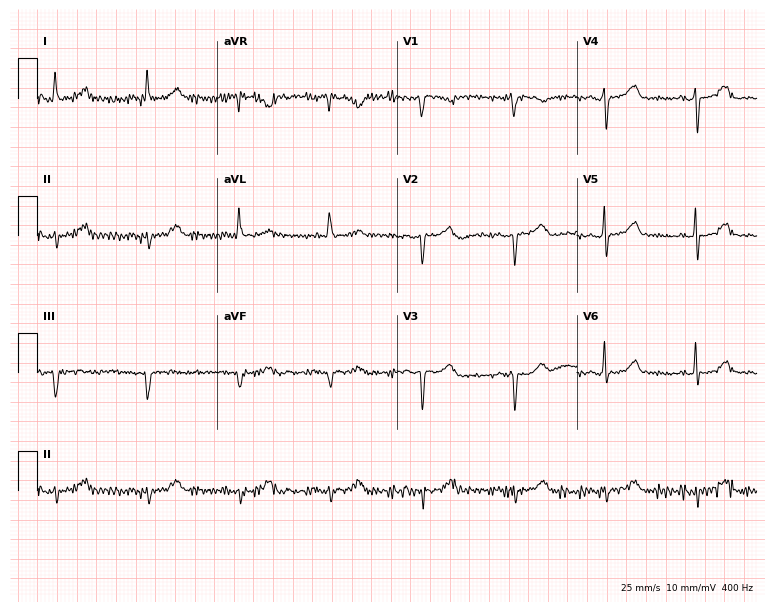
Electrocardiogram (7.3-second recording at 400 Hz), a male patient, 82 years old. Of the six screened findings (first-degree AV block, right bundle branch block, left bundle branch block, sinus bradycardia, atrial fibrillation, sinus tachycardia), none is recorded.